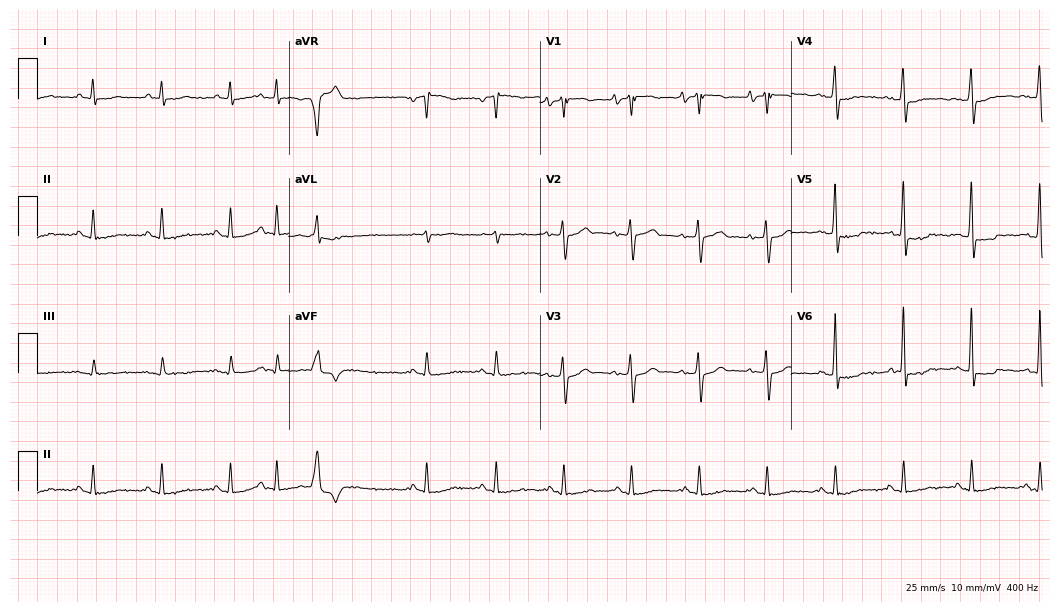
12-lead ECG from a man, 65 years old. Labelled as a normal ECG.